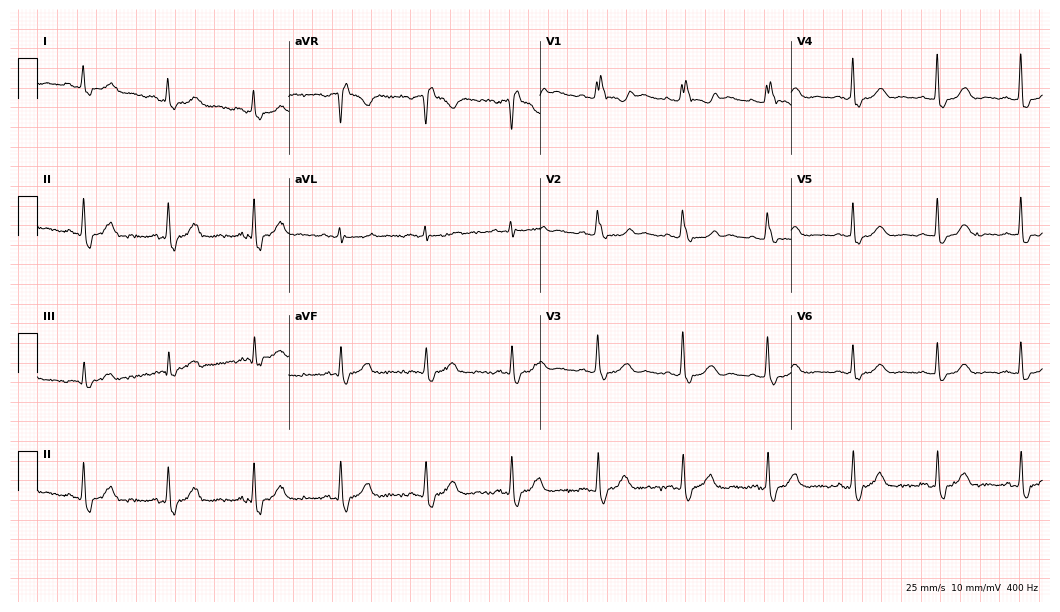
ECG (10.2-second recording at 400 Hz) — a female patient, 60 years old. Findings include right bundle branch block.